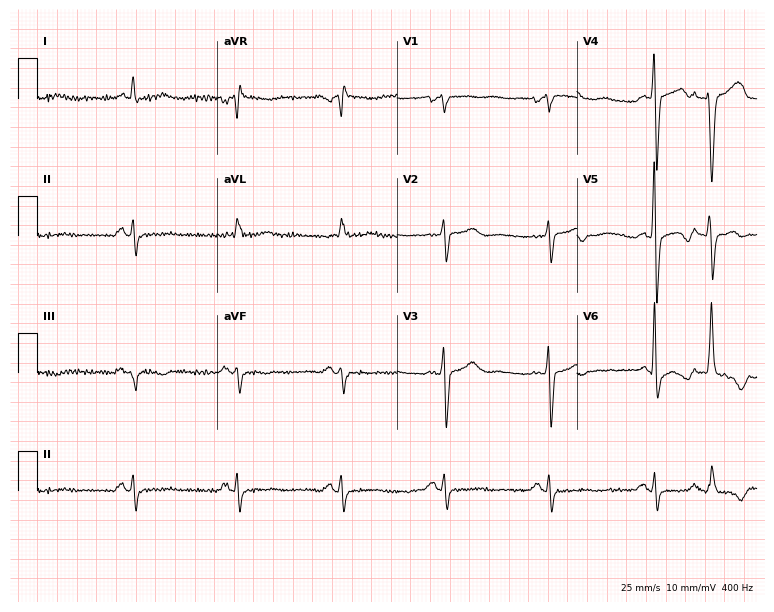
Resting 12-lead electrocardiogram (7.3-second recording at 400 Hz). Patient: a 74-year-old man. None of these six findings is recorded: first-degree AV block, right bundle branch block, left bundle branch block, sinus bradycardia, atrial fibrillation, sinus tachycardia. Only these six findings were labelled.